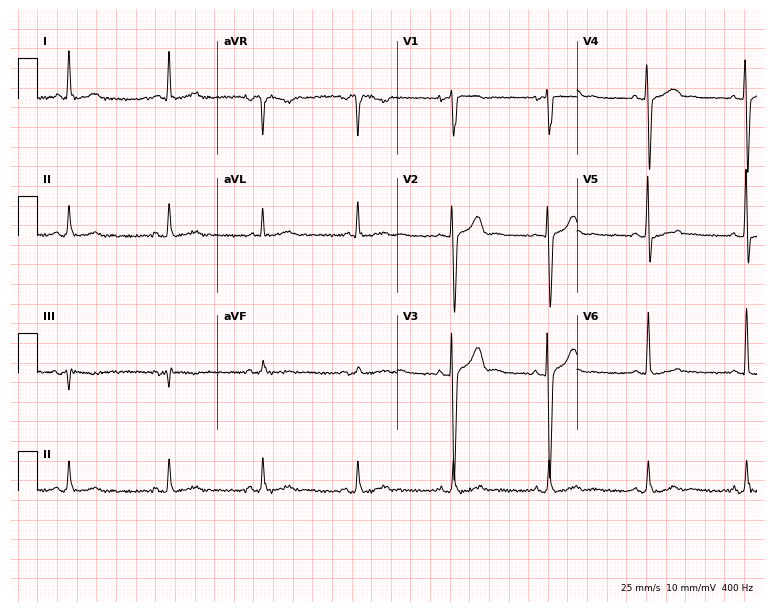
Standard 12-lead ECG recorded from a male, 36 years old. None of these six findings is recorded: first-degree AV block, right bundle branch block, left bundle branch block, sinus bradycardia, atrial fibrillation, sinus tachycardia. Other findings, if any, are not listed.